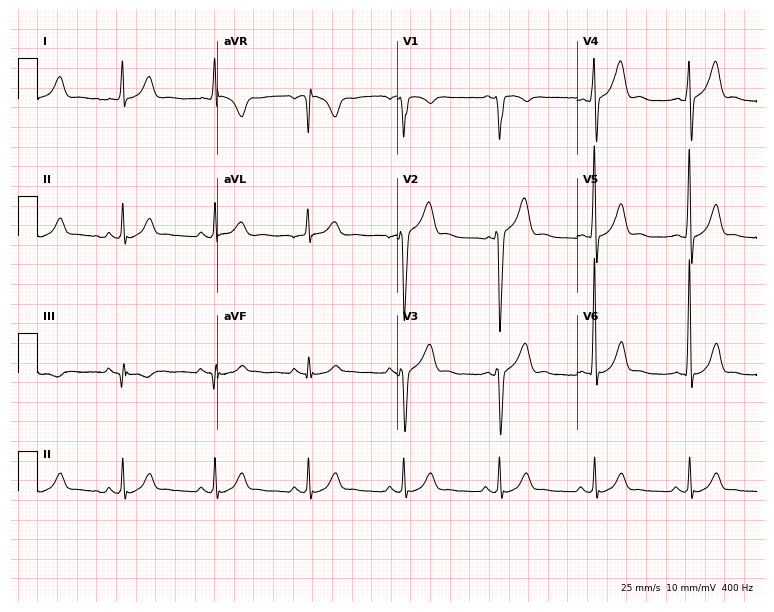
Standard 12-lead ECG recorded from a man, 32 years old (7.3-second recording at 400 Hz). None of these six findings is recorded: first-degree AV block, right bundle branch block, left bundle branch block, sinus bradycardia, atrial fibrillation, sinus tachycardia. Findings outside these six are not listed.